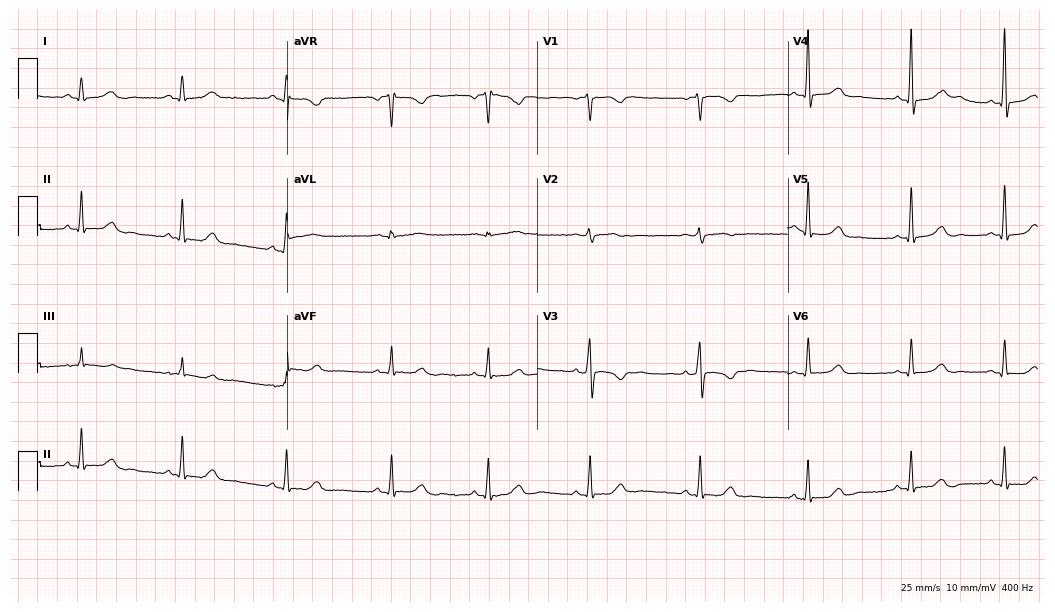
ECG (10.2-second recording at 400 Hz) — a 28-year-old woman. Screened for six findings — first-degree AV block, right bundle branch block (RBBB), left bundle branch block (LBBB), sinus bradycardia, atrial fibrillation (AF), sinus tachycardia — none is recorded. Other findings, if any, are not listed.